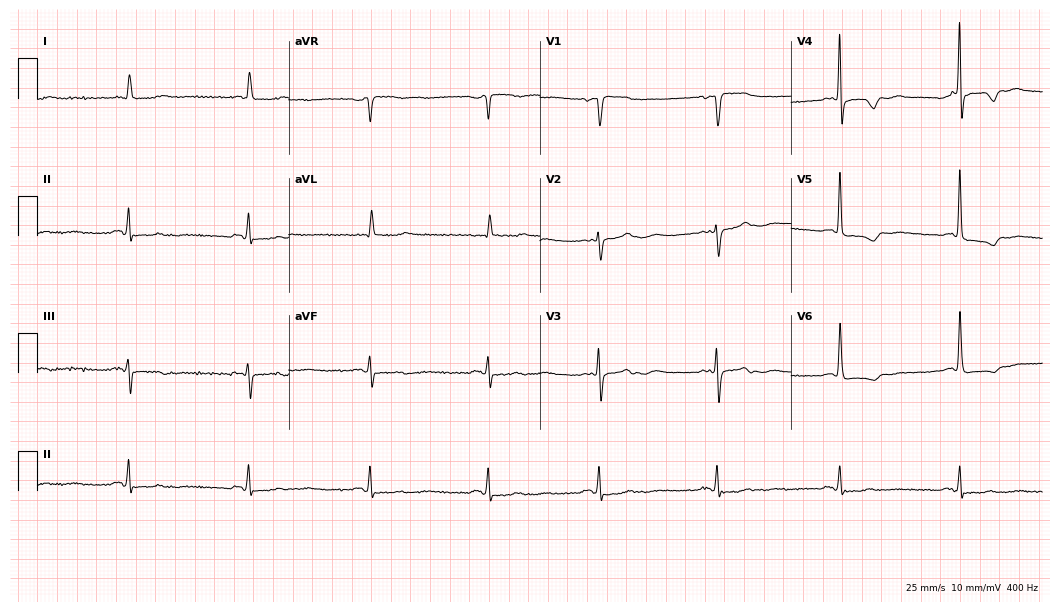
Electrocardiogram, a female patient, 46 years old. Interpretation includes sinus bradycardia (a sinus rate of 50 beats per minute or less).